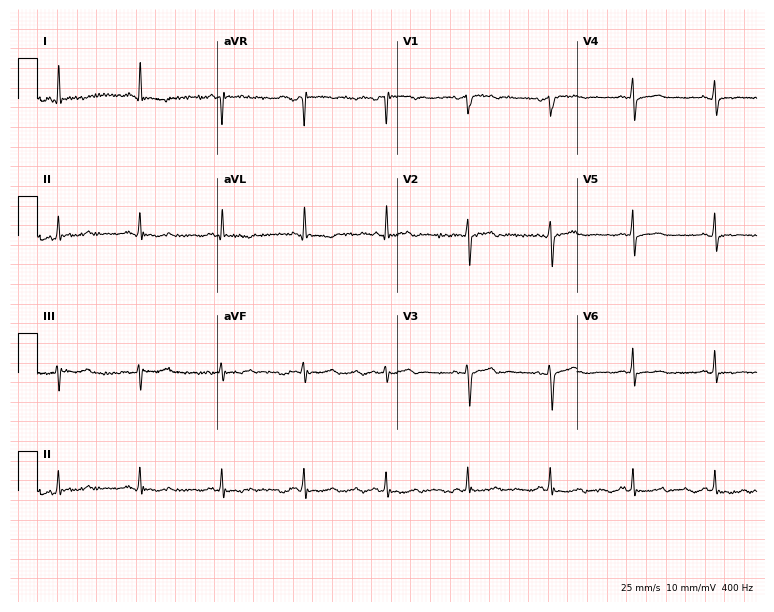
Standard 12-lead ECG recorded from a 58-year-old female. None of these six findings is recorded: first-degree AV block, right bundle branch block, left bundle branch block, sinus bradycardia, atrial fibrillation, sinus tachycardia. Findings outside these six are not listed.